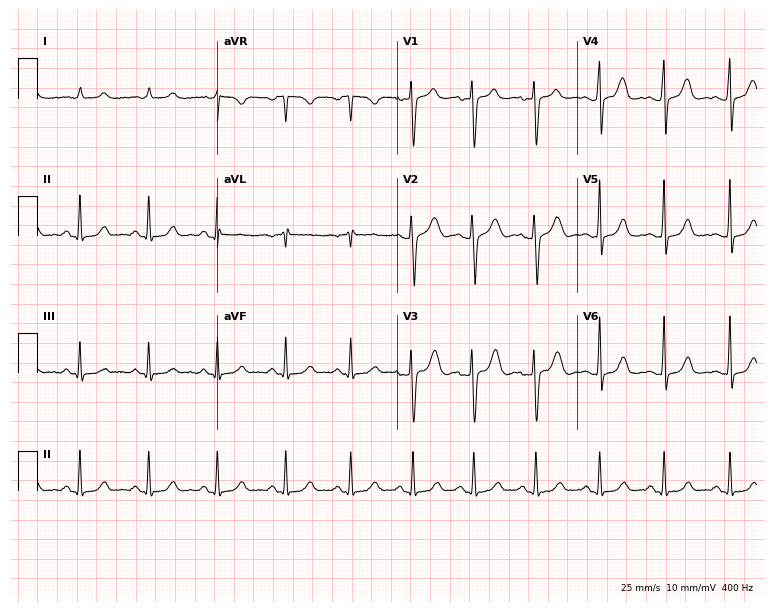
Electrocardiogram, a female, 40 years old. Overall reading on record: normal ECG.